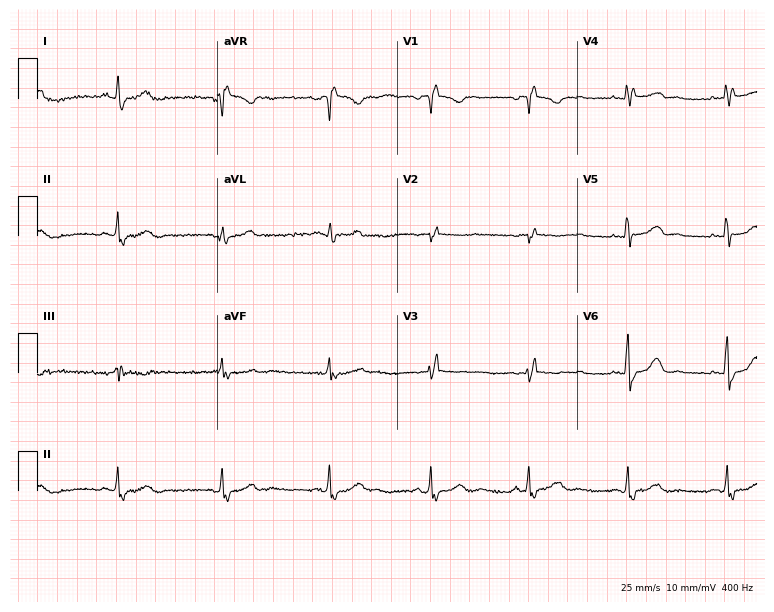
12-lead ECG from a 46-year-old female (7.3-second recording at 400 Hz). Shows right bundle branch block (RBBB).